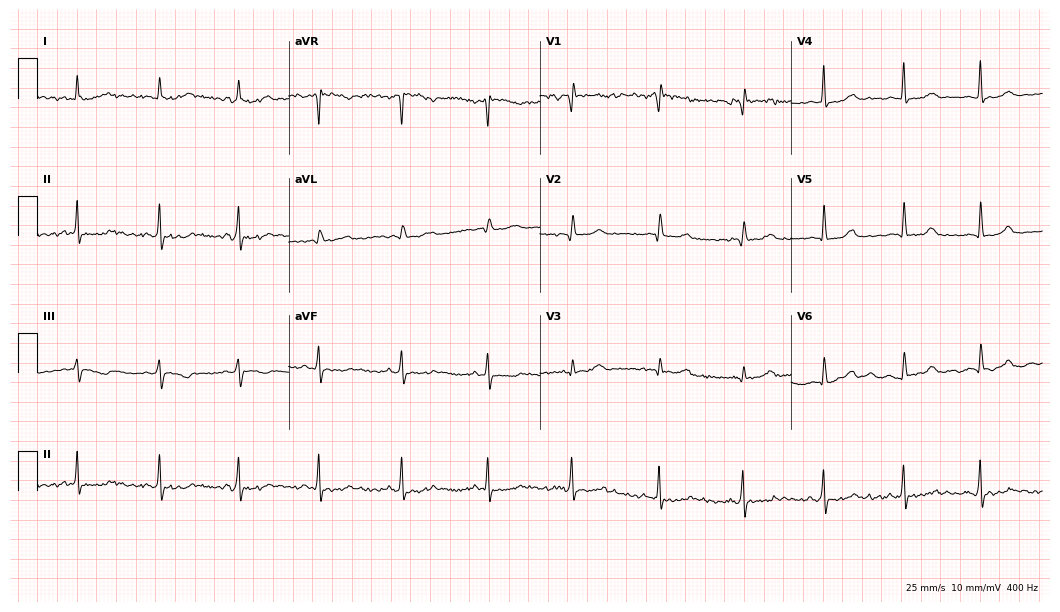
Resting 12-lead electrocardiogram (10.2-second recording at 400 Hz). Patient: a 44-year-old woman. None of these six findings is recorded: first-degree AV block, right bundle branch block, left bundle branch block, sinus bradycardia, atrial fibrillation, sinus tachycardia. Findings outside these six are not listed.